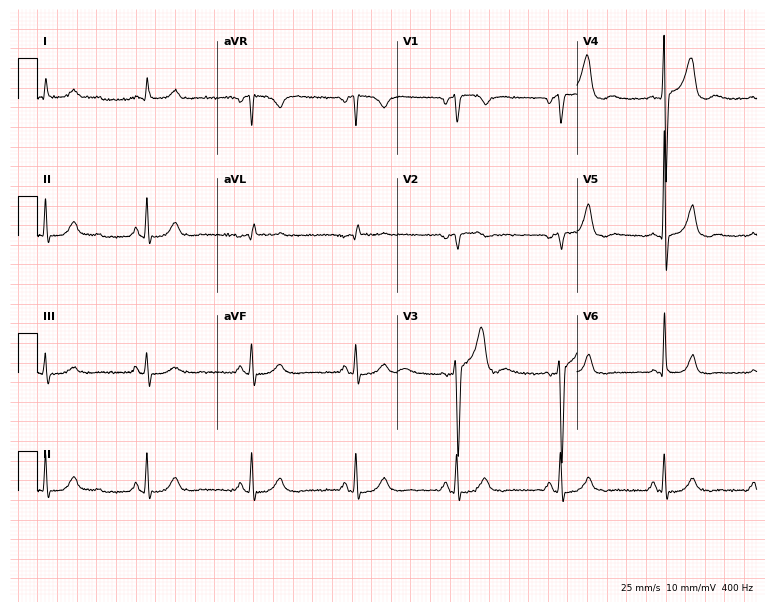
12-lead ECG (7.3-second recording at 400 Hz) from a male, 63 years old. Labelled as a normal ECG.